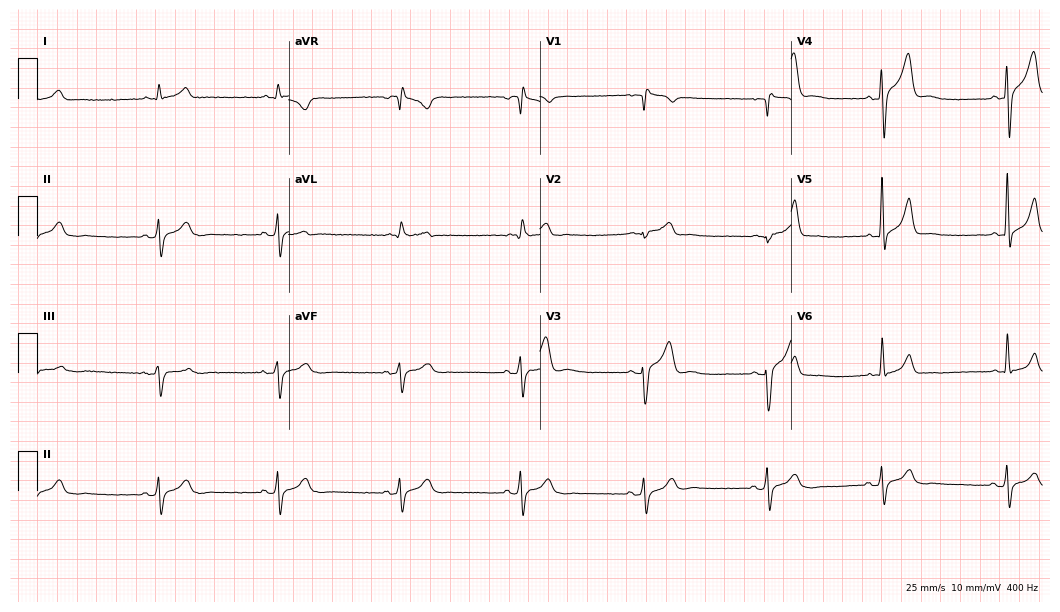
12-lead ECG from a 40-year-old male. Labelled as a normal ECG.